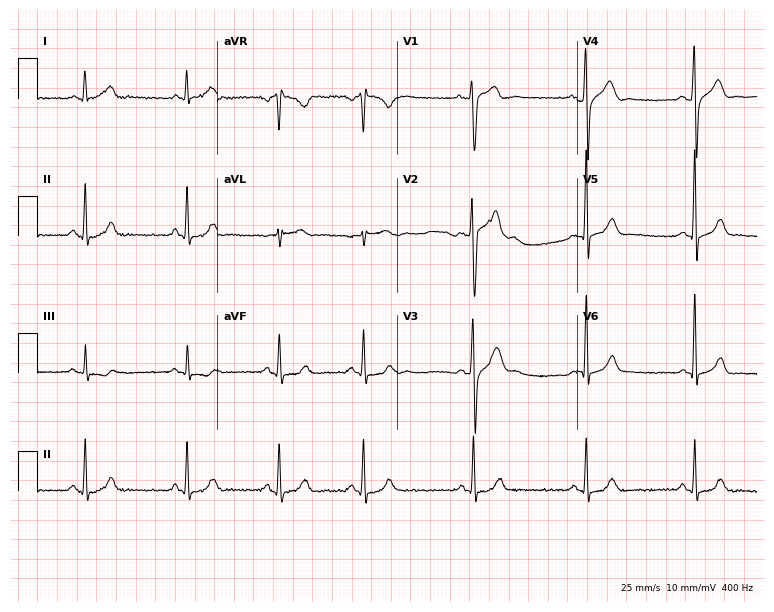
Electrocardiogram (7.3-second recording at 400 Hz), a male patient, 25 years old. Overall reading on record: normal ECG.